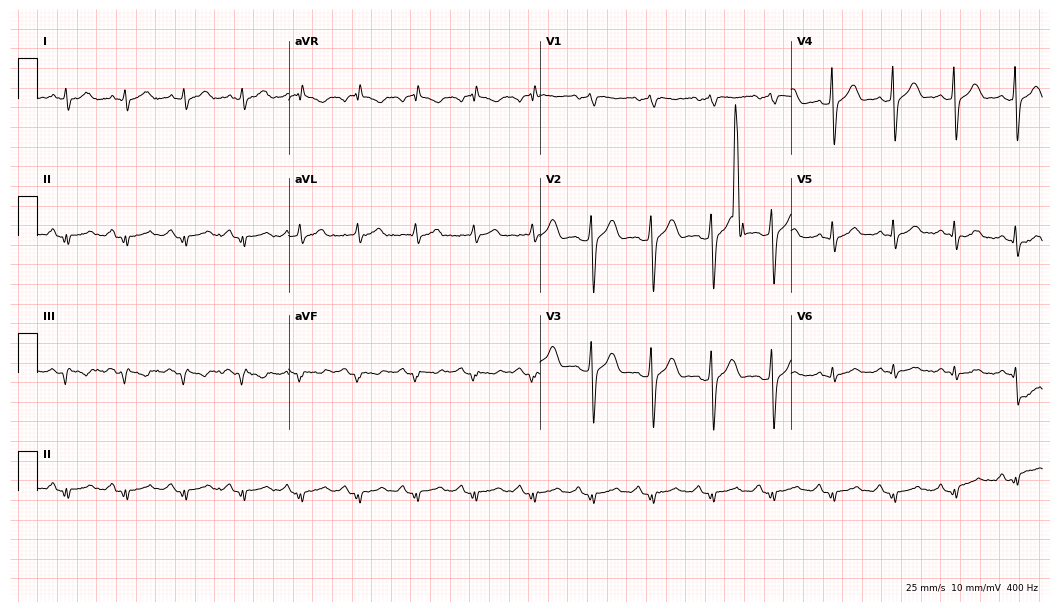
Resting 12-lead electrocardiogram (10.2-second recording at 400 Hz). Patient: a 57-year-old man. None of these six findings is recorded: first-degree AV block, right bundle branch block (RBBB), left bundle branch block (LBBB), sinus bradycardia, atrial fibrillation (AF), sinus tachycardia. Only these six findings were labelled.